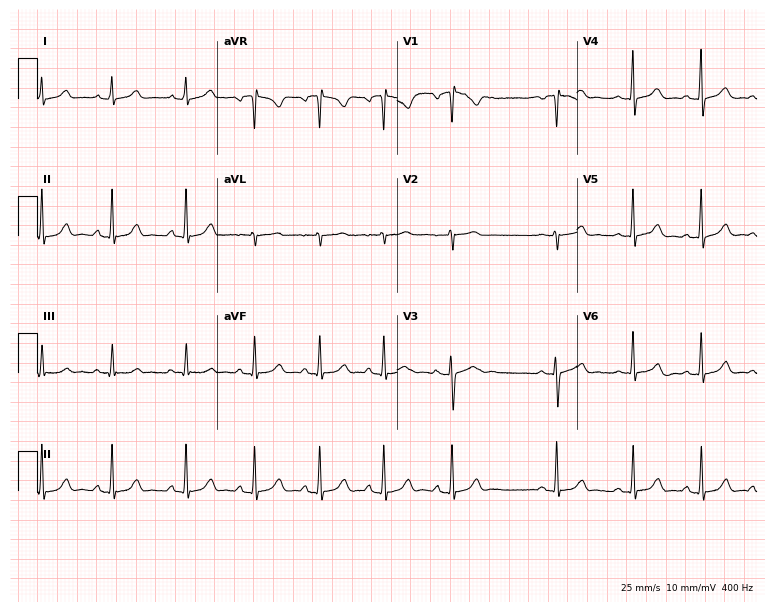
ECG — a woman, 19 years old. Labelled as a normal ECG.